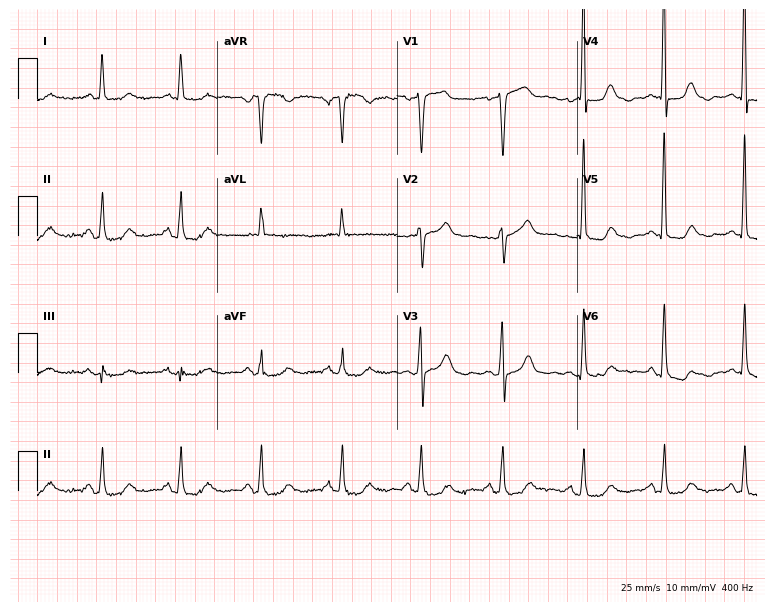
Resting 12-lead electrocardiogram. Patient: an 80-year-old female. None of these six findings is recorded: first-degree AV block, right bundle branch block, left bundle branch block, sinus bradycardia, atrial fibrillation, sinus tachycardia.